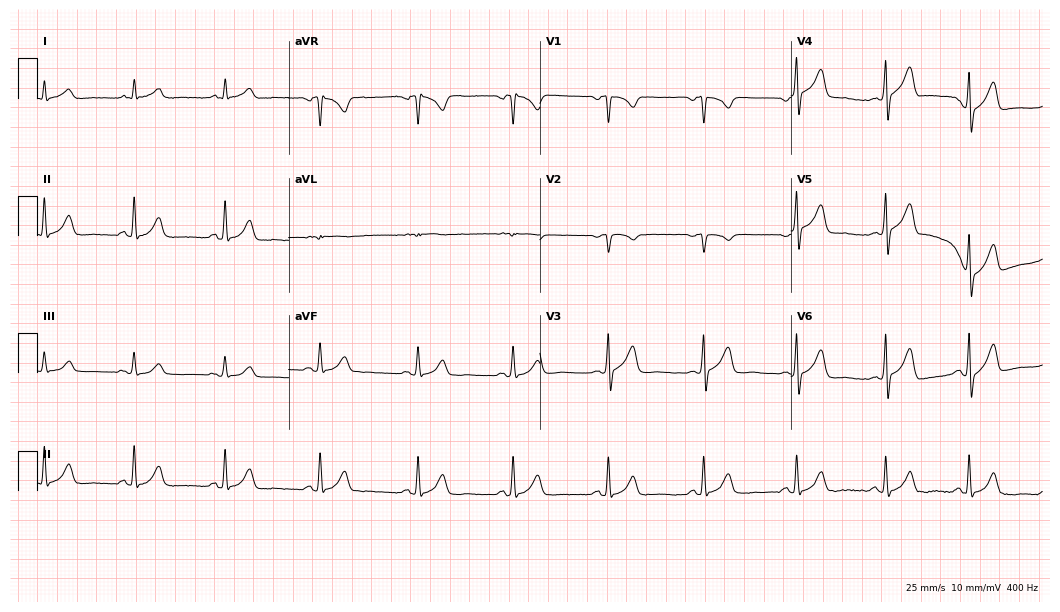
Electrocardiogram (10.2-second recording at 400 Hz), a man, 65 years old. Overall reading on record: normal ECG.